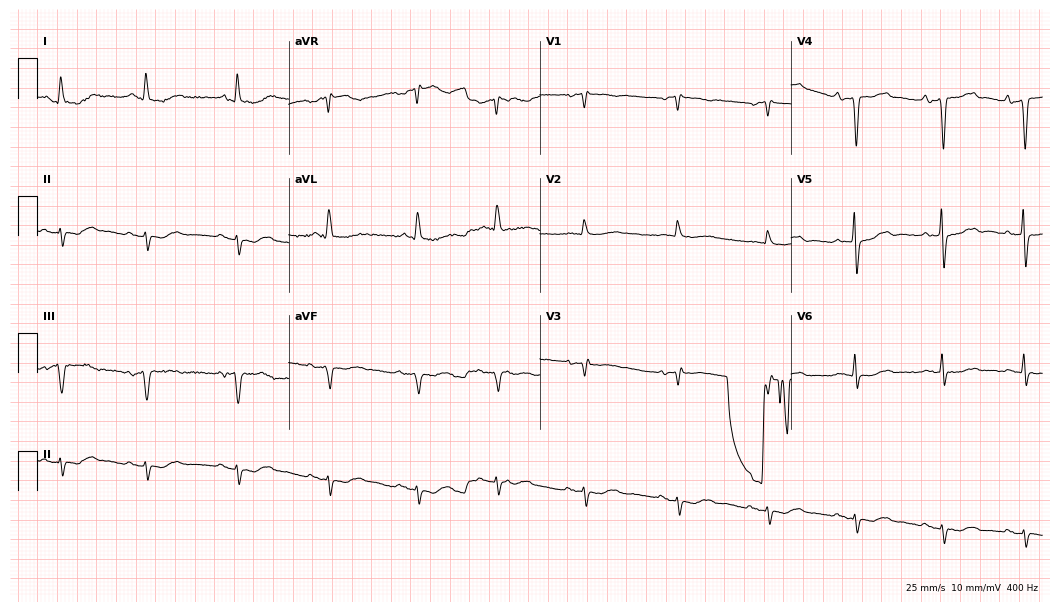
Standard 12-lead ECG recorded from a 75-year-old woman (10.2-second recording at 400 Hz). None of these six findings is recorded: first-degree AV block, right bundle branch block, left bundle branch block, sinus bradycardia, atrial fibrillation, sinus tachycardia. Only these six findings were labelled.